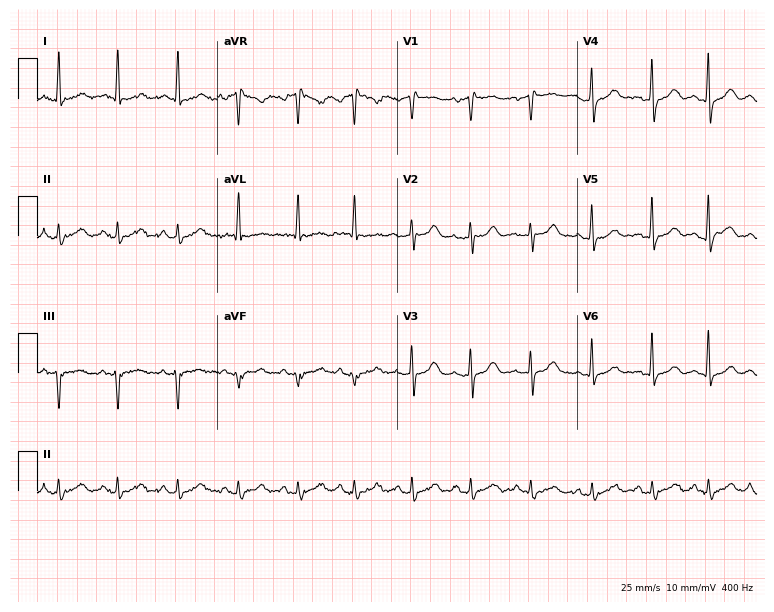
Standard 12-lead ECG recorded from a woman, 68 years old. None of these six findings is recorded: first-degree AV block, right bundle branch block, left bundle branch block, sinus bradycardia, atrial fibrillation, sinus tachycardia.